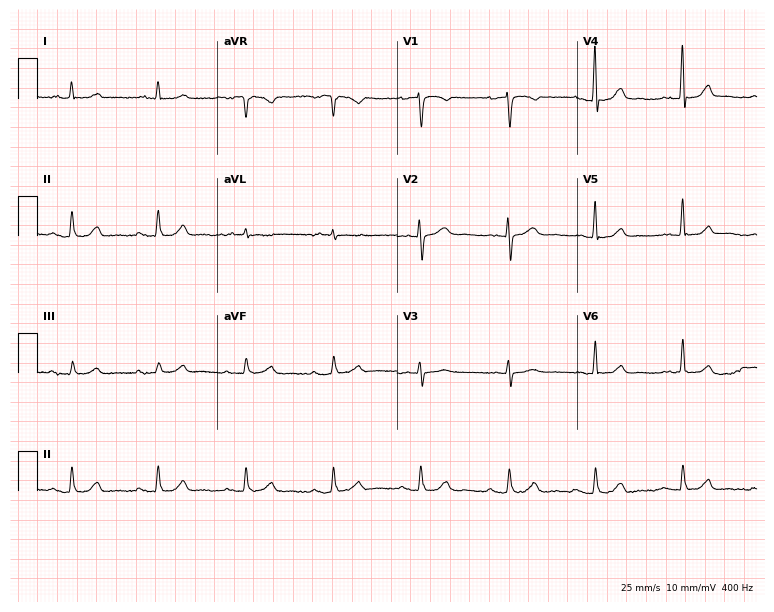
Standard 12-lead ECG recorded from a man, 67 years old (7.3-second recording at 400 Hz). Read as a normal ECG.